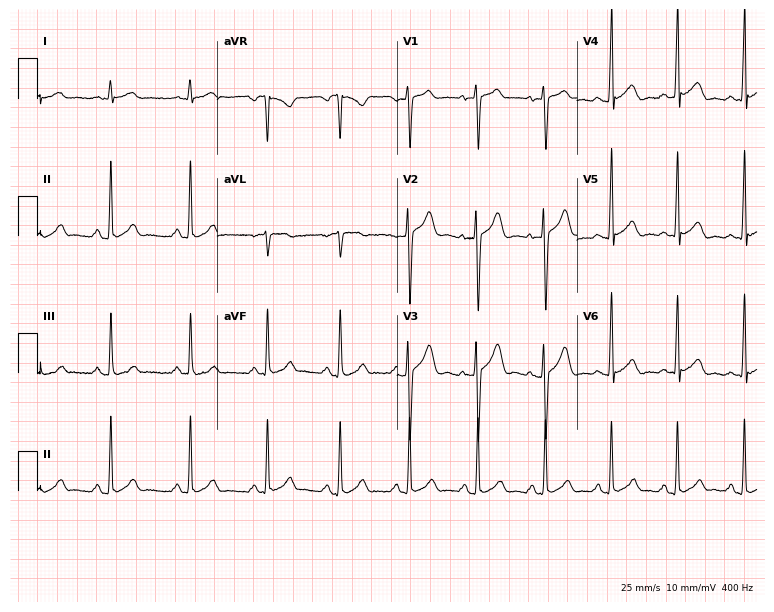
12-lead ECG from a 19-year-old male. Recorded interpretation: within normal limits.